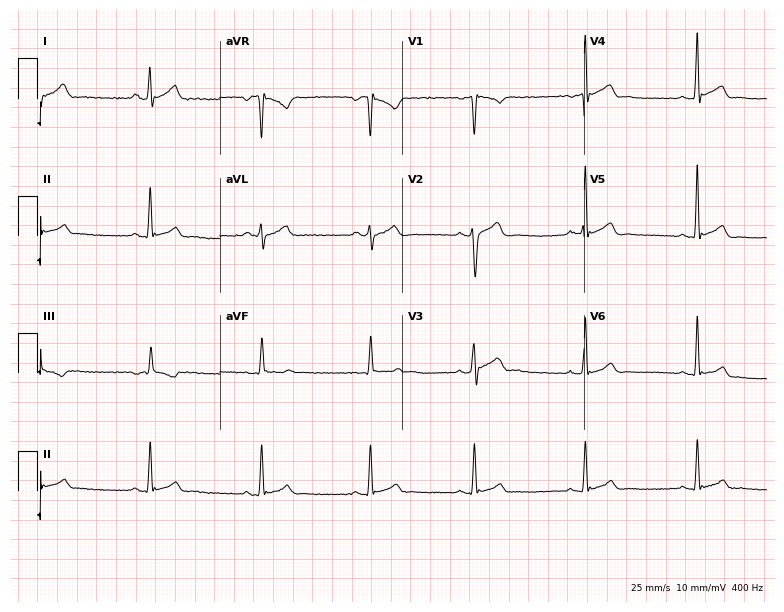
12-lead ECG (7.4-second recording at 400 Hz) from a 34-year-old male. Labelled as a normal ECG.